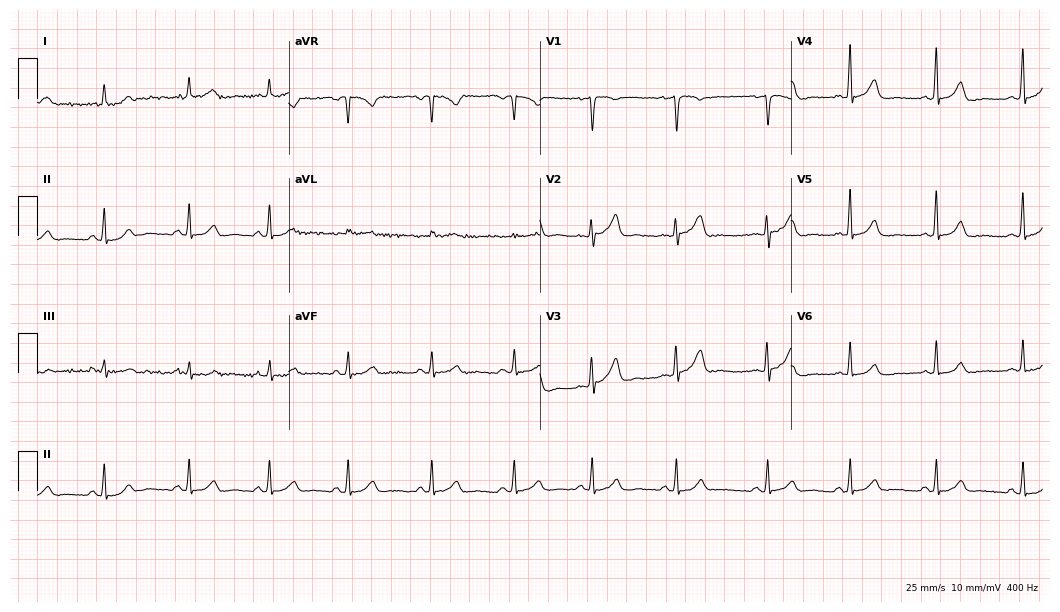
Electrocardiogram, a 43-year-old woman. Overall reading on record: normal ECG.